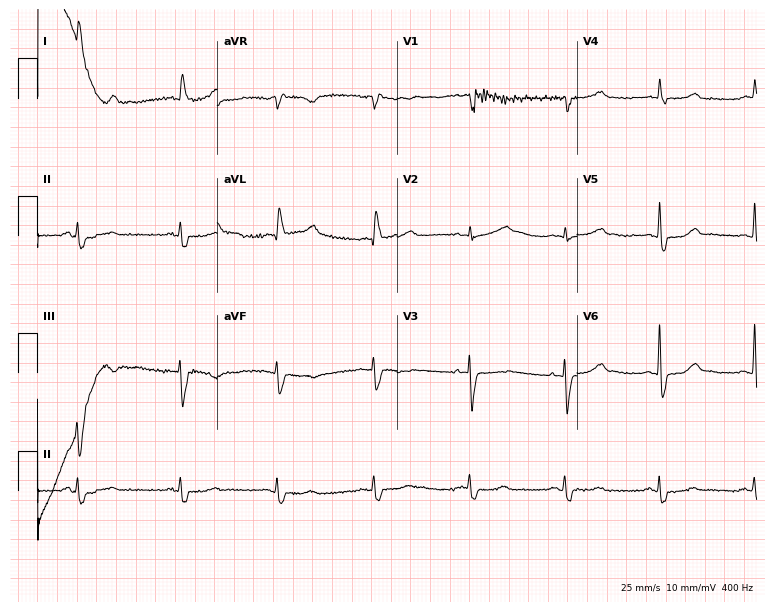
12-lead ECG from a female patient, 80 years old. Screened for six findings — first-degree AV block, right bundle branch block, left bundle branch block, sinus bradycardia, atrial fibrillation, sinus tachycardia — none is recorded. Findings outside these six are not listed.